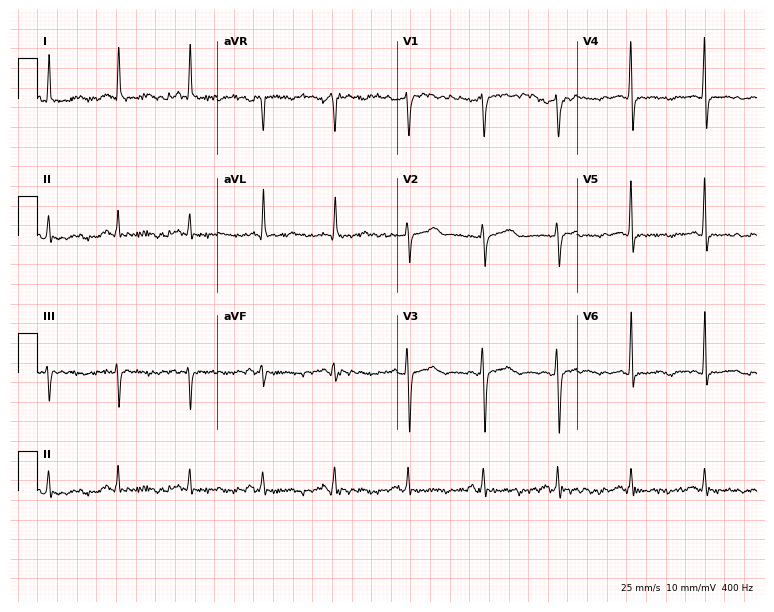
Electrocardiogram, a 57-year-old female patient. Of the six screened findings (first-degree AV block, right bundle branch block, left bundle branch block, sinus bradycardia, atrial fibrillation, sinus tachycardia), none is recorded. Only these six findings were labelled.